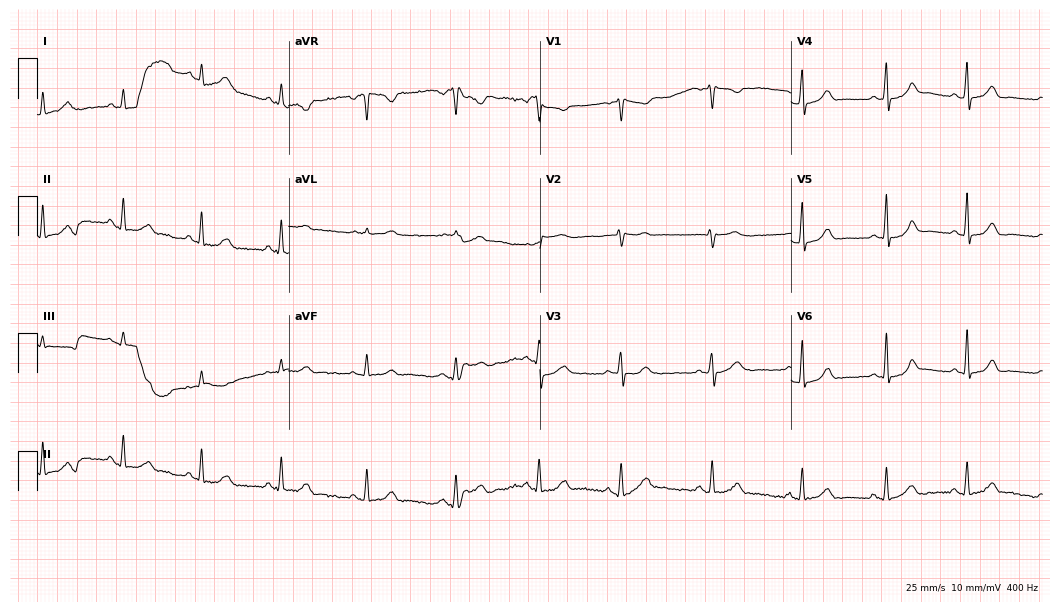
12-lead ECG from a 45-year-old female. Recorded interpretation: within normal limits.